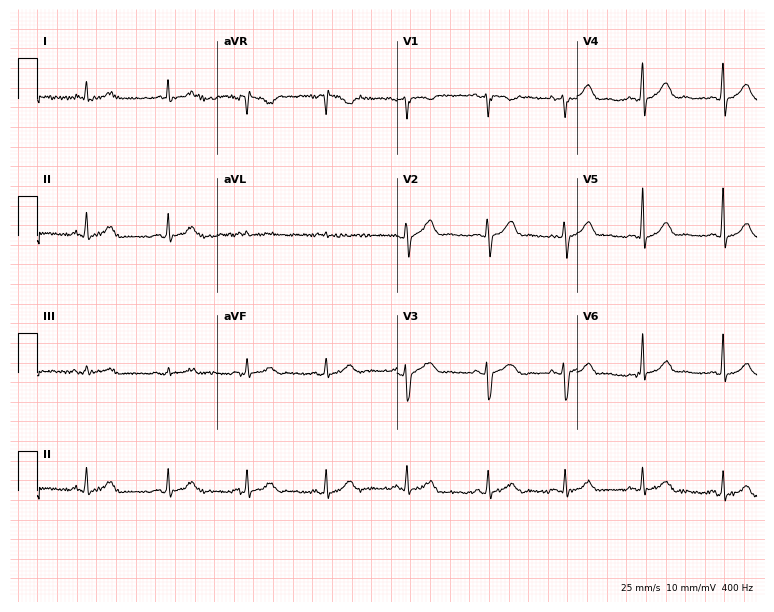
12-lead ECG (7.3-second recording at 400 Hz) from a 44-year-old female. Labelled as a normal ECG.